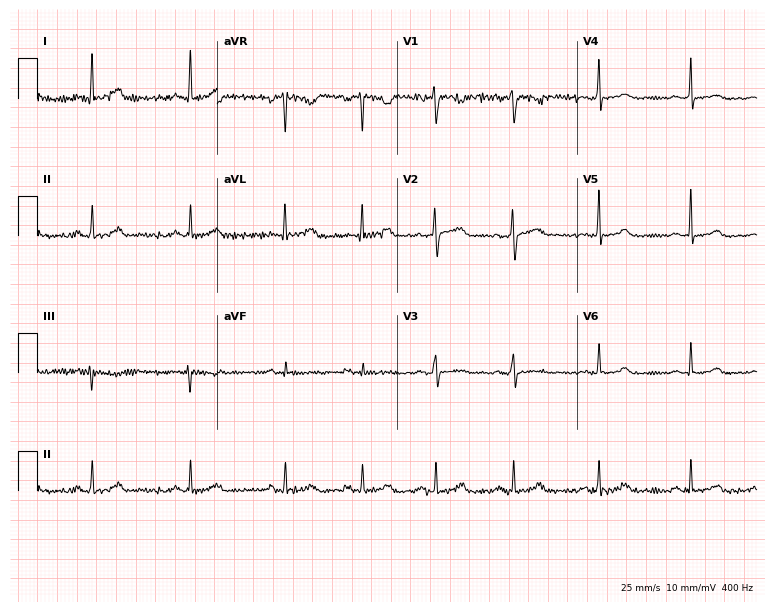
12-lead ECG from a 36-year-old woman. Recorded interpretation: within normal limits.